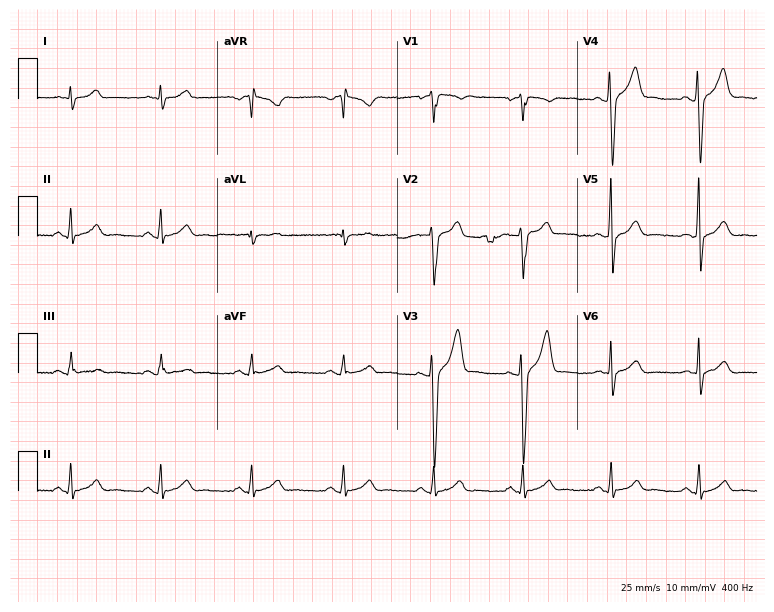
12-lead ECG from a 33-year-old man (7.3-second recording at 400 Hz). Recorded interpretation: within normal limits.